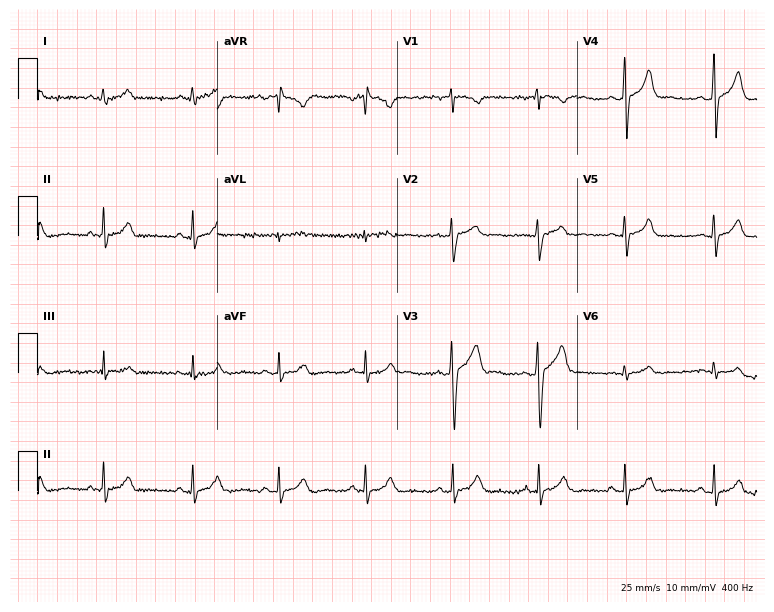
Resting 12-lead electrocardiogram (7.3-second recording at 400 Hz). Patient: a male, 34 years old. None of these six findings is recorded: first-degree AV block, right bundle branch block (RBBB), left bundle branch block (LBBB), sinus bradycardia, atrial fibrillation (AF), sinus tachycardia.